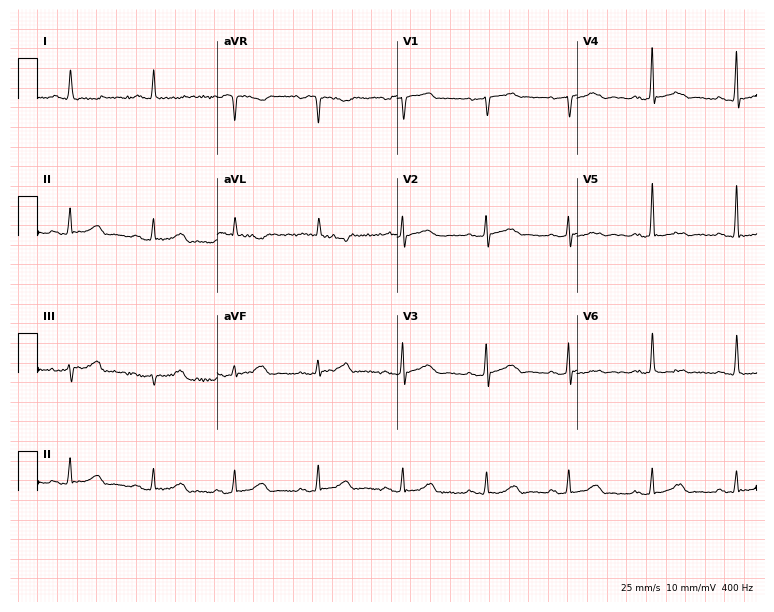
12-lead ECG from a female, 69 years old (7.3-second recording at 400 Hz). No first-degree AV block, right bundle branch block, left bundle branch block, sinus bradycardia, atrial fibrillation or sinus tachycardia recorded for this tracing. Other findings, if any, are not listed.